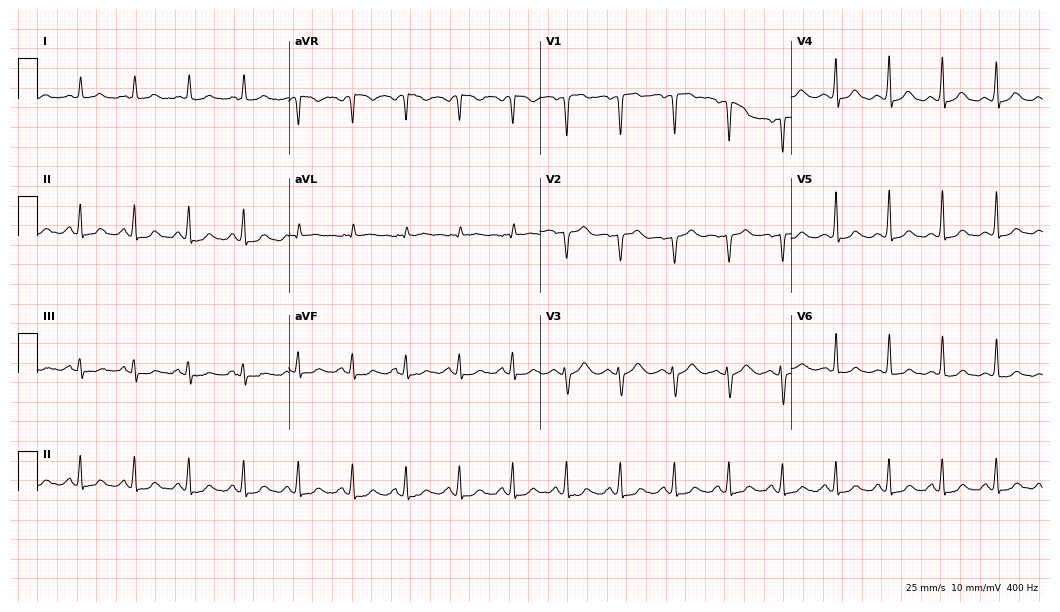
Resting 12-lead electrocardiogram (10.2-second recording at 400 Hz). Patient: a female, 51 years old. The tracing shows sinus tachycardia (a sinus rate of 100 beats per minute or more).